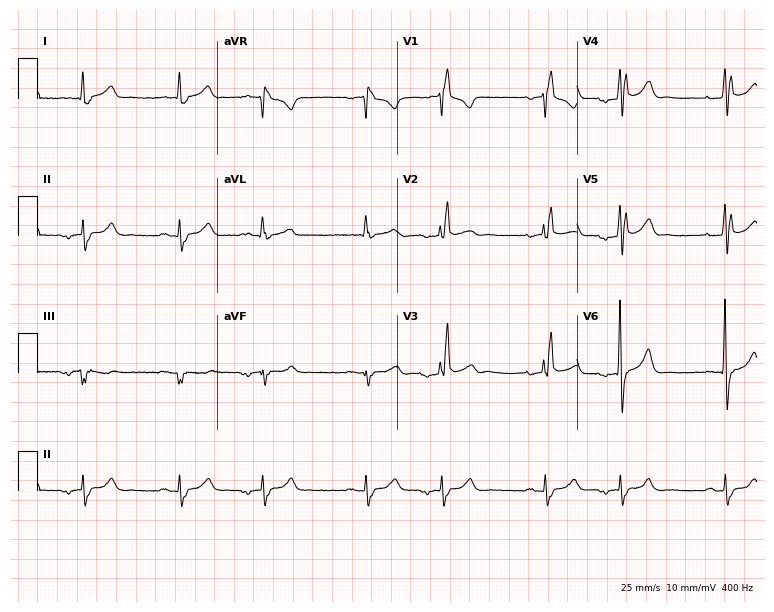
12-lead ECG from a 62-year-old man (7.3-second recording at 400 Hz). Shows right bundle branch block (RBBB).